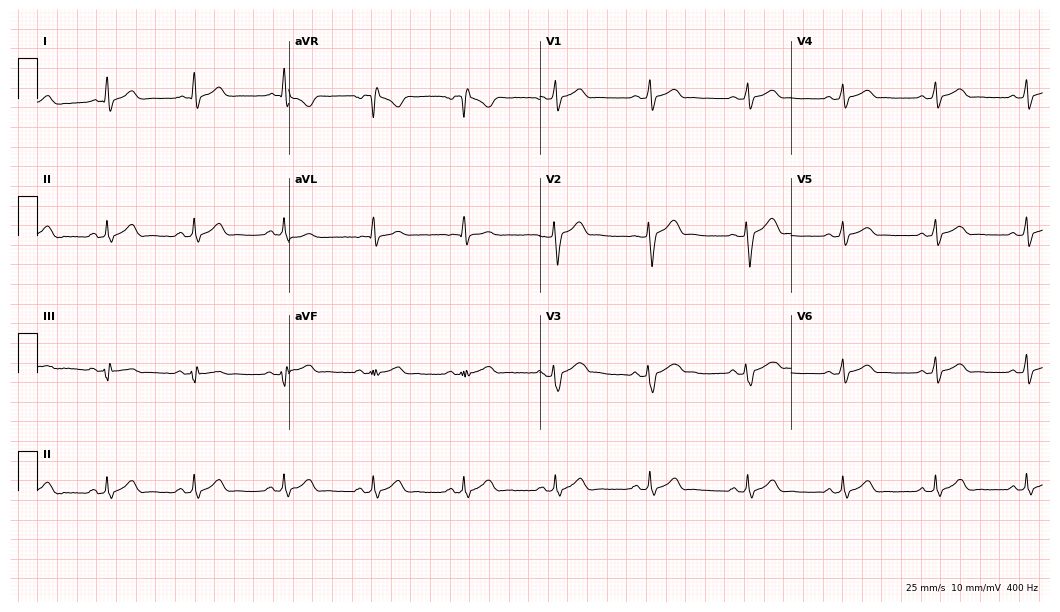
Standard 12-lead ECG recorded from a male patient, 22 years old. Read as a normal ECG.